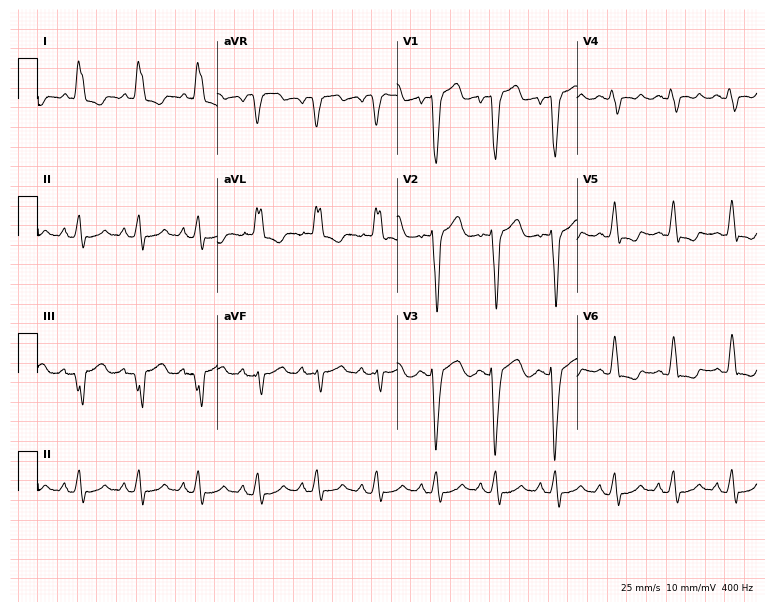
Resting 12-lead electrocardiogram (7.3-second recording at 400 Hz). Patient: a female, 70 years old. The tracing shows left bundle branch block.